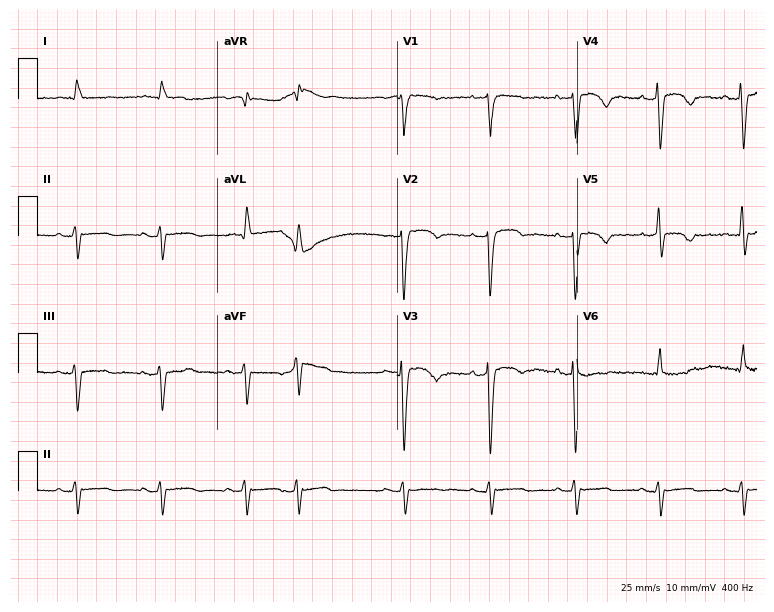
12-lead ECG from a male, 57 years old (7.3-second recording at 400 Hz). No first-degree AV block, right bundle branch block, left bundle branch block, sinus bradycardia, atrial fibrillation or sinus tachycardia recorded for this tracing.